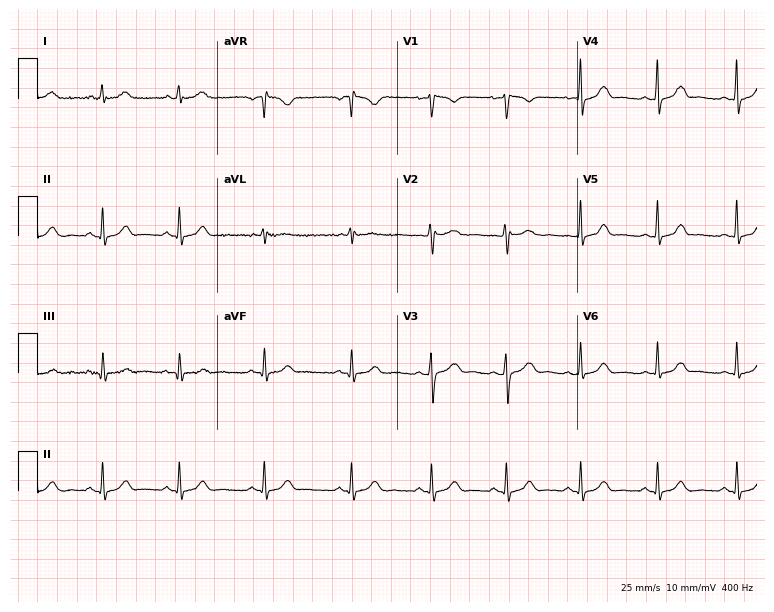
Standard 12-lead ECG recorded from a female, 31 years old (7.3-second recording at 400 Hz). Read as a normal ECG.